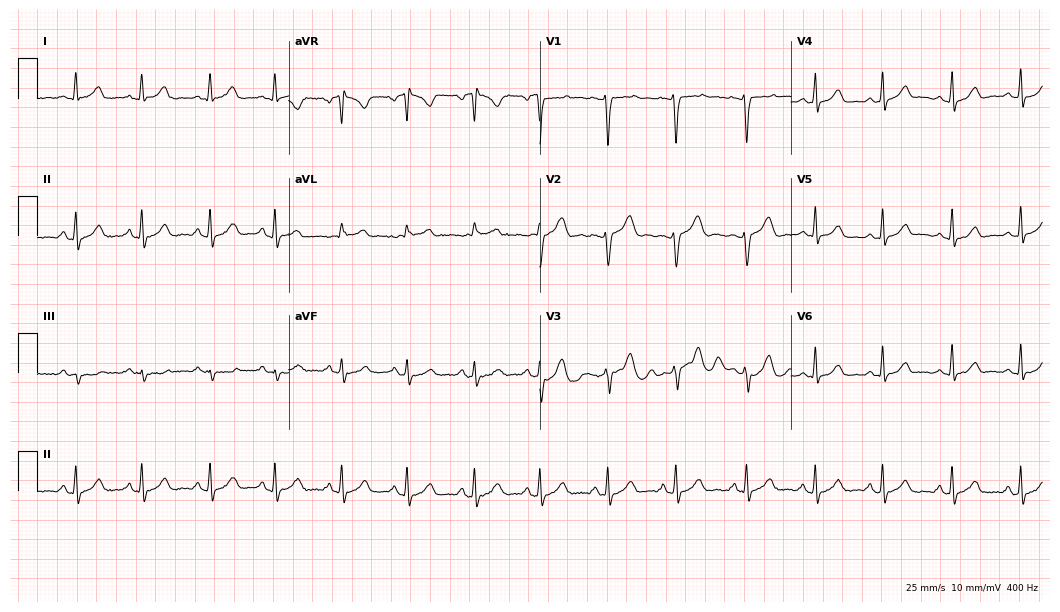
Resting 12-lead electrocardiogram (10.2-second recording at 400 Hz). Patient: a female, 23 years old. Read as a normal ECG.